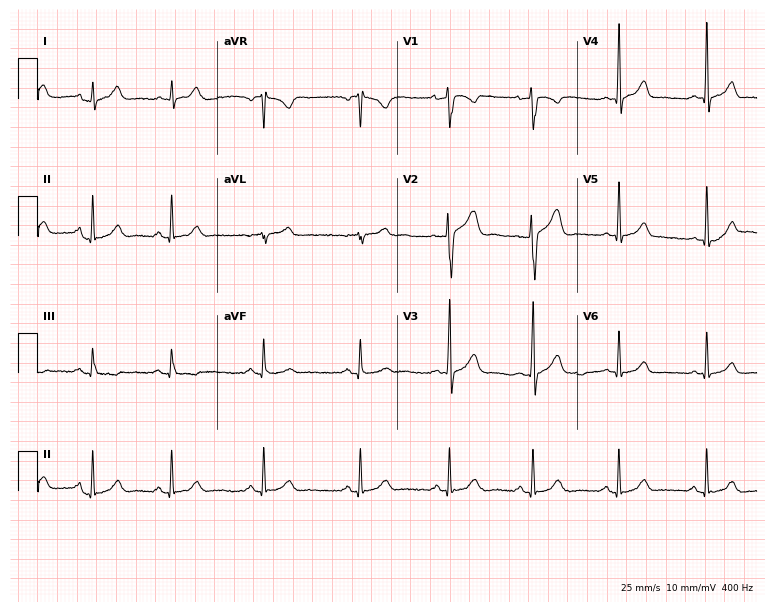
Resting 12-lead electrocardiogram (7.3-second recording at 400 Hz). Patient: a man, 34 years old. Read as a normal ECG.